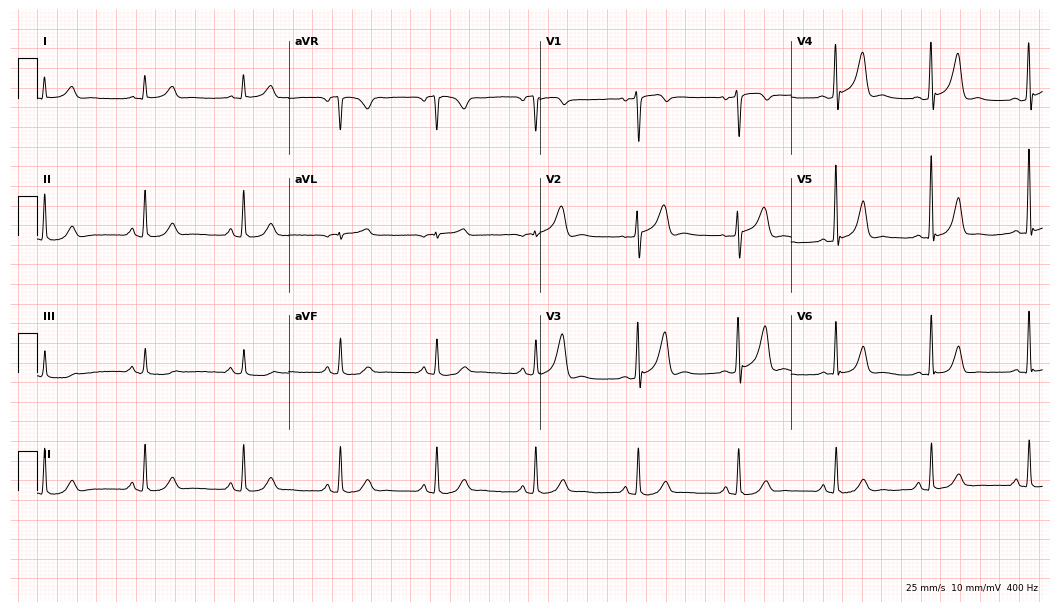
ECG — a 58-year-old male patient. Labelled as a normal ECG.